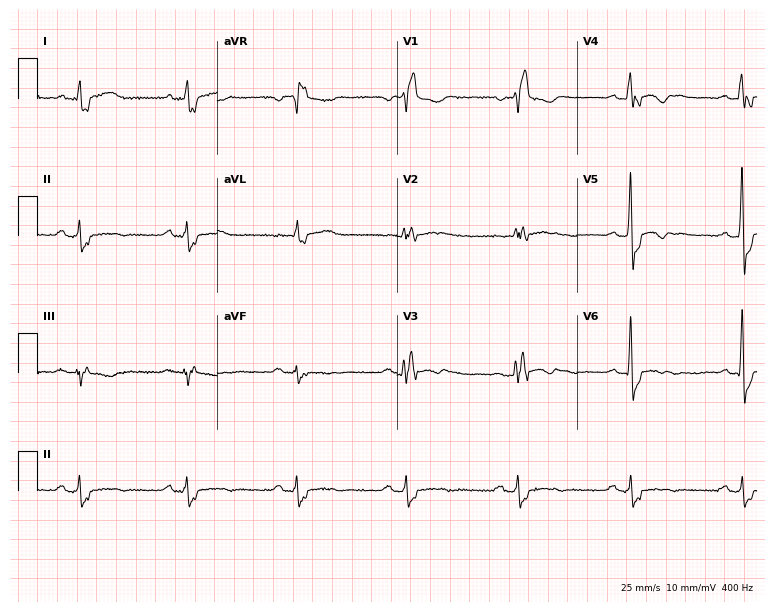
Electrocardiogram (7.3-second recording at 400 Hz), a male patient, 62 years old. Interpretation includes right bundle branch block (RBBB).